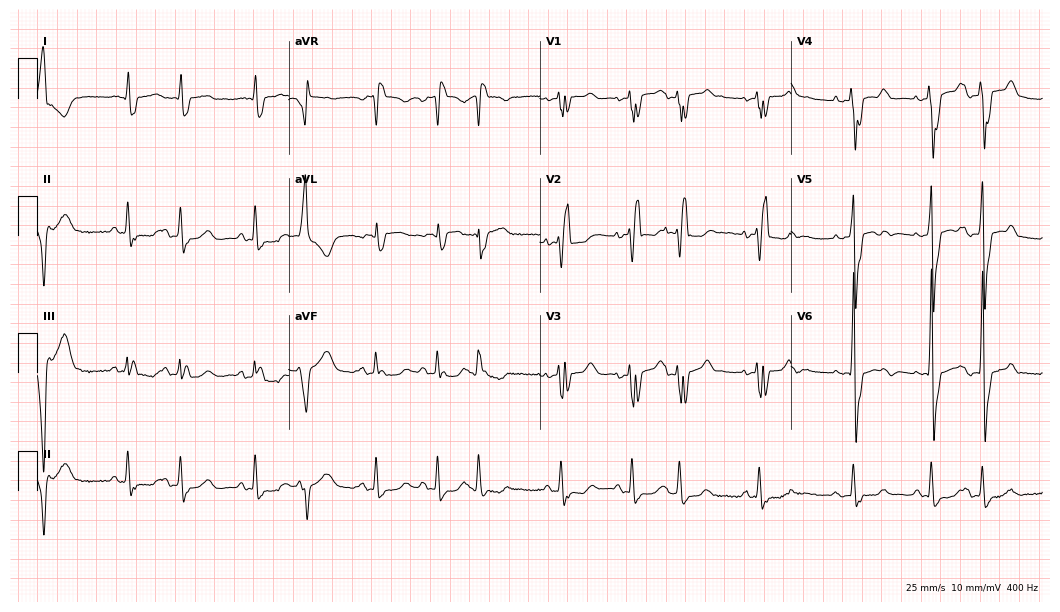
12-lead ECG from a man, 78 years old (10.2-second recording at 400 Hz). No first-degree AV block, right bundle branch block, left bundle branch block, sinus bradycardia, atrial fibrillation or sinus tachycardia recorded for this tracing.